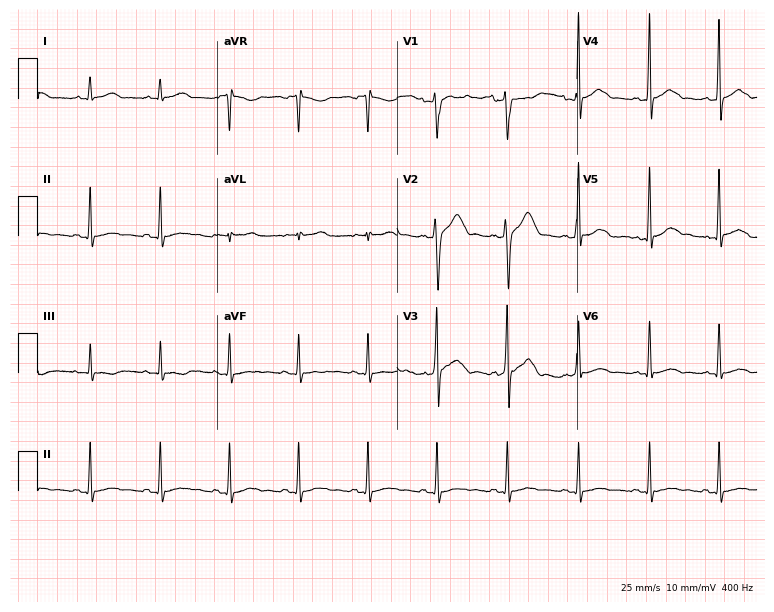
Standard 12-lead ECG recorded from a man, 30 years old (7.3-second recording at 400 Hz). None of these six findings is recorded: first-degree AV block, right bundle branch block, left bundle branch block, sinus bradycardia, atrial fibrillation, sinus tachycardia. Findings outside these six are not listed.